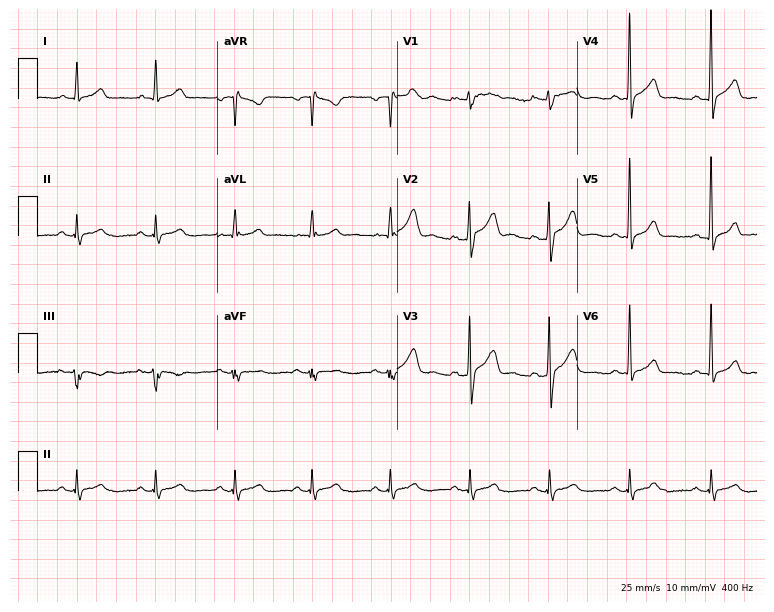
Resting 12-lead electrocardiogram (7.3-second recording at 400 Hz). Patient: a man, 41 years old. None of these six findings is recorded: first-degree AV block, right bundle branch block (RBBB), left bundle branch block (LBBB), sinus bradycardia, atrial fibrillation (AF), sinus tachycardia.